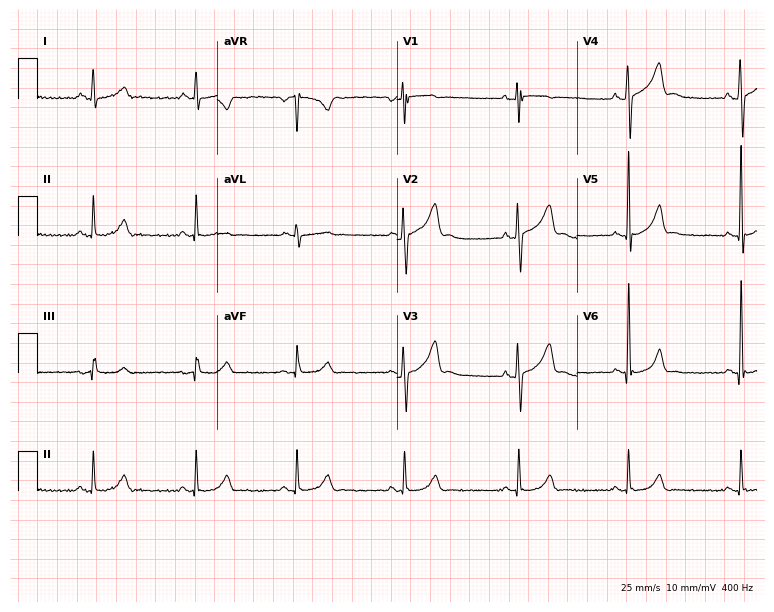
Resting 12-lead electrocardiogram. Patient: a female, 31 years old. None of these six findings is recorded: first-degree AV block, right bundle branch block (RBBB), left bundle branch block (LBBB), sinus bradycardia, atrial fibrillation (AF), sinus tachycardia.